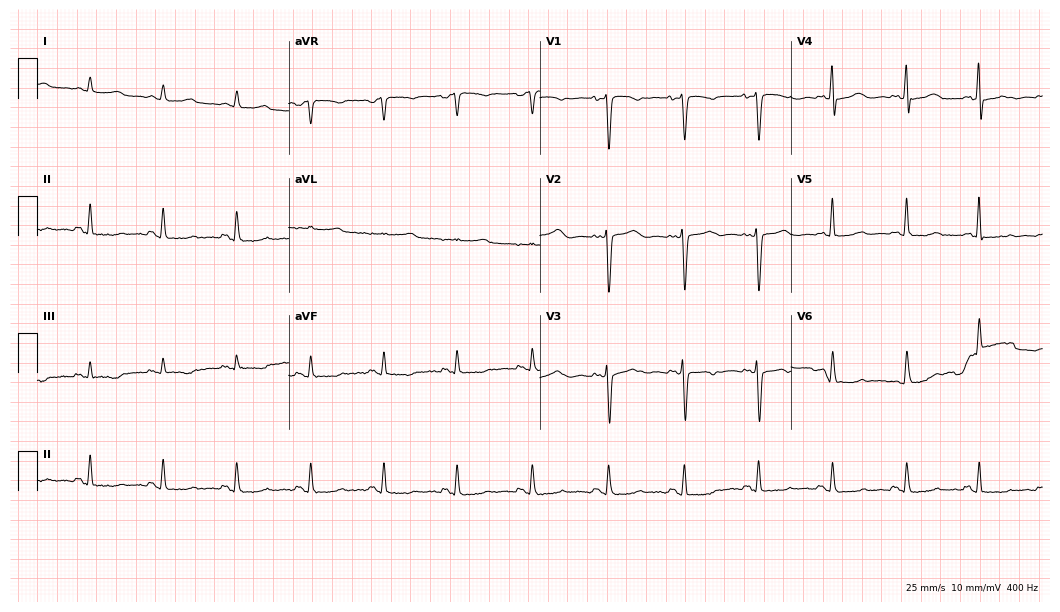
12-lead ECG from a woman, 48 years old. No first-degree AV block, right bundle branch block, left bundle branch block, sinus bradycardia, atrial fibrillation or sinus tachycardia recorded for this tracing.